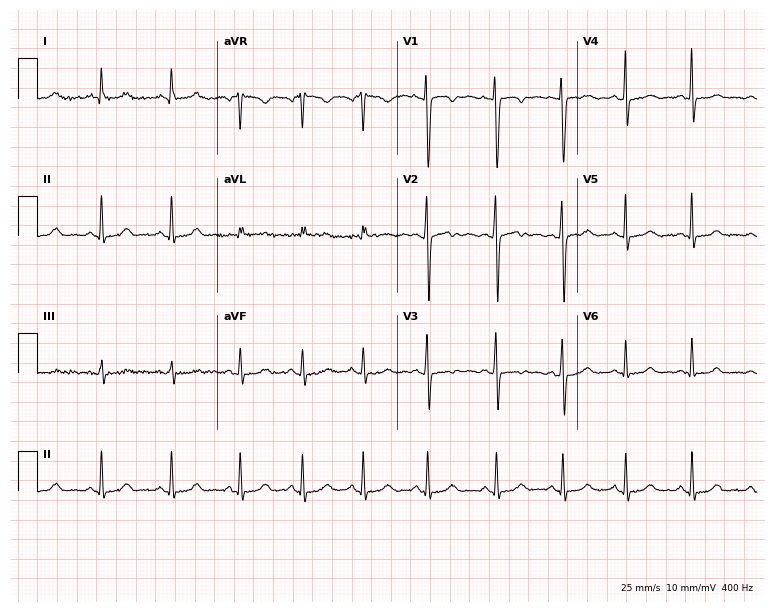
Electrocardiogram, a 23-year-old female. Of the six screened findings (first-degree AV block, right bundle branch block, left bundle branch block, sinus bradycardia, atrial fibrillation, sinus tachycardia), none is recorded. Other findings, if any, are not listed.